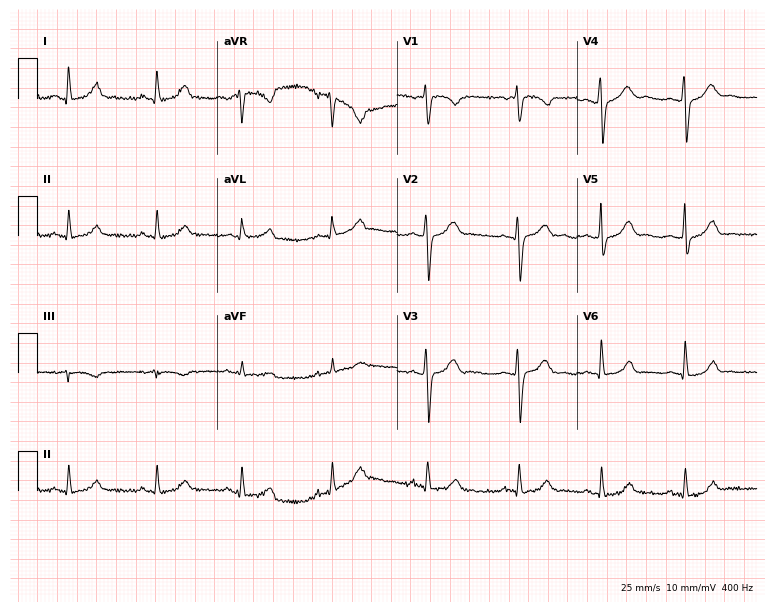
12-lead ECG from a female, 34 years old (7.3-second recording at 400 Hz). No first-degree AV block, right bundle branch block (RBBB), left bundle branch block (LBBB), sinus bradycardia, atrial fibrillation (AF) or sinus tachycardia recorded for this tracing. Only these six findings were labelled.